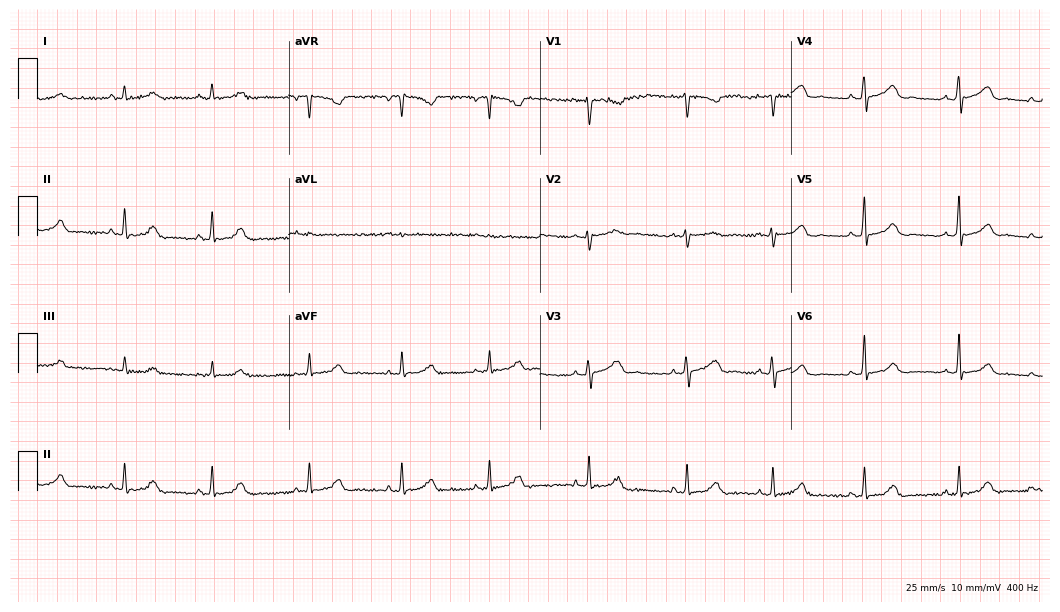
12-lead ECG from a woman, 32 years old. Recorded interpretation: within normal limits.